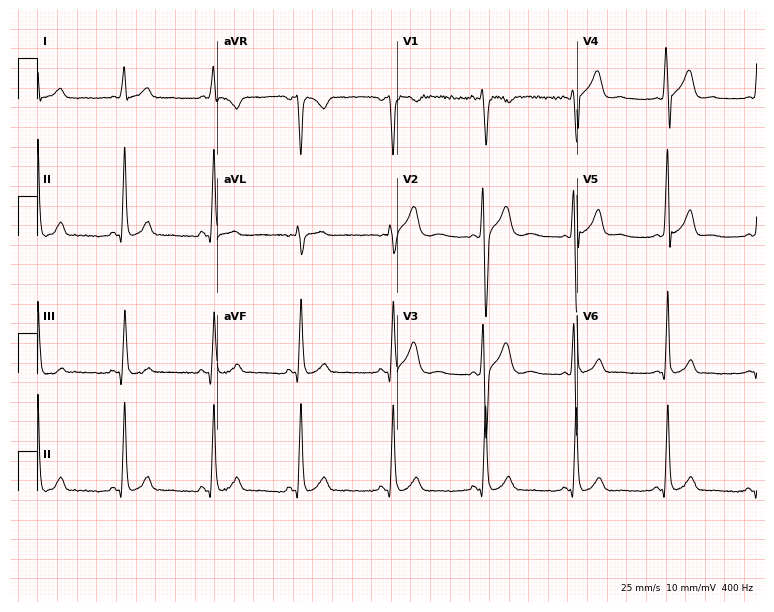
Standard 12-lead ECG recorded from a man, 41 years old. None of these six findings is recorded: first-degree AV block, right bundle branch block, left bundle branch block, sinus bradycardia, atrial fibrillation, sinus tachycardia.